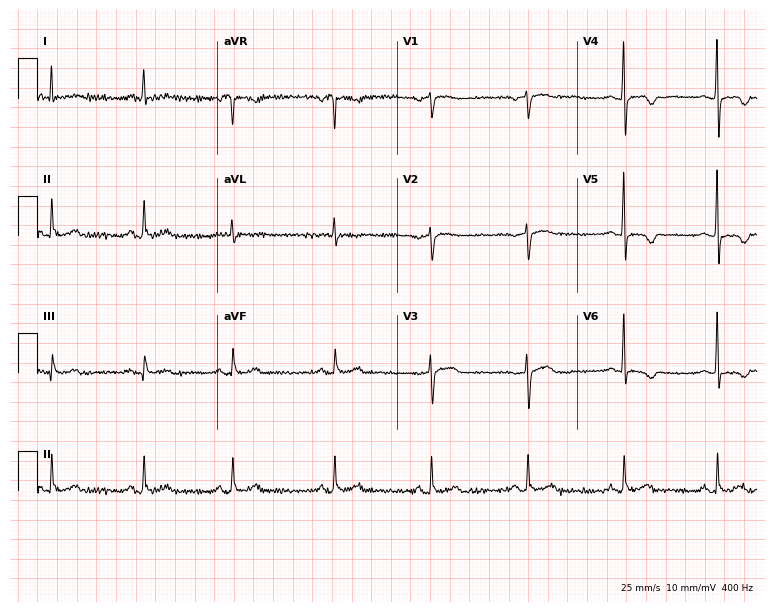
Resting 12-lead electrocardiogram (7.3-second recording at 400 Hz). Patient: a woman, 66 years old. None of these six findings is recorded: first-degree AV block, right bundle branch block, left bundle branch block, sinus bradycardia, atrial fibrillation, sinus tachycardia. Other findings, if any, are not listed.